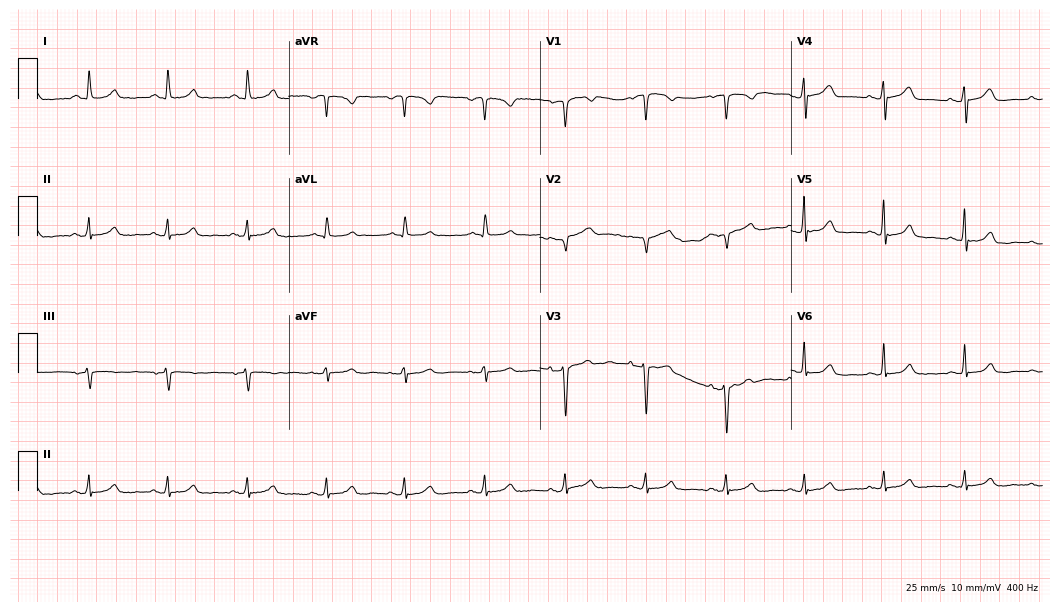
Standard 12-lead ECG recorded from a 60-year-old female. Read as a normal ECG.